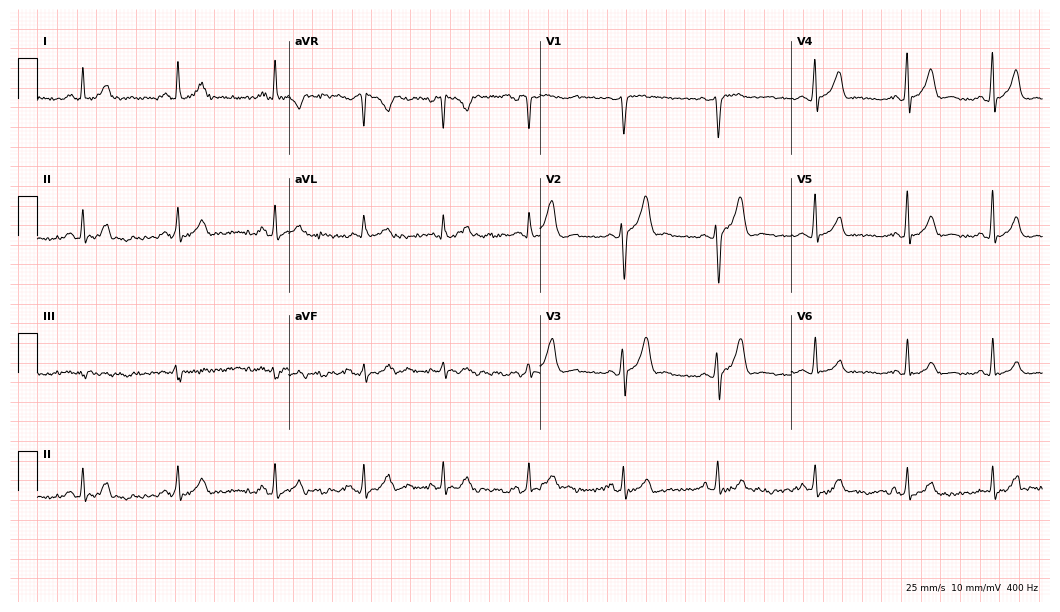
Electrocardiogram (10.2-second recording at 400 Hz), a 30-year-old man. Overall reading on record: normal ECG.